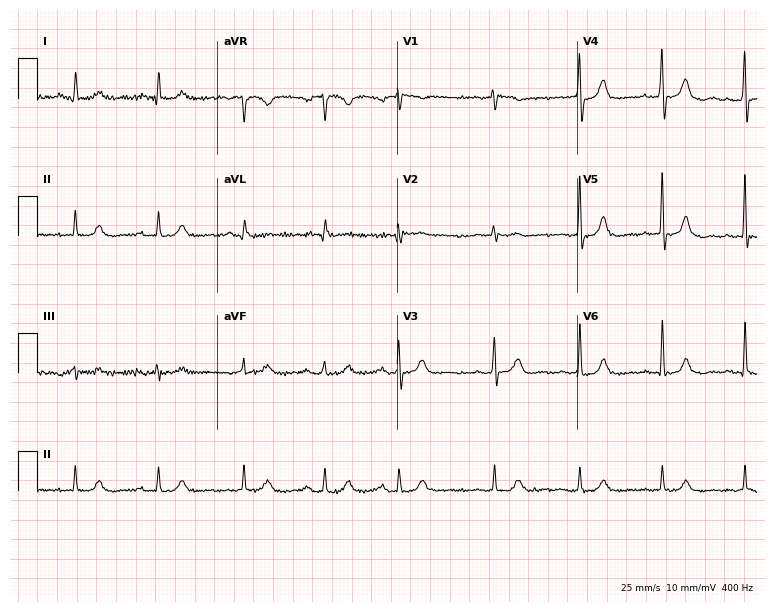
12-lead ECG (7.3-second recording at 400 Hz) from an 81-year-old male patient. Labelled as a normal ECG.